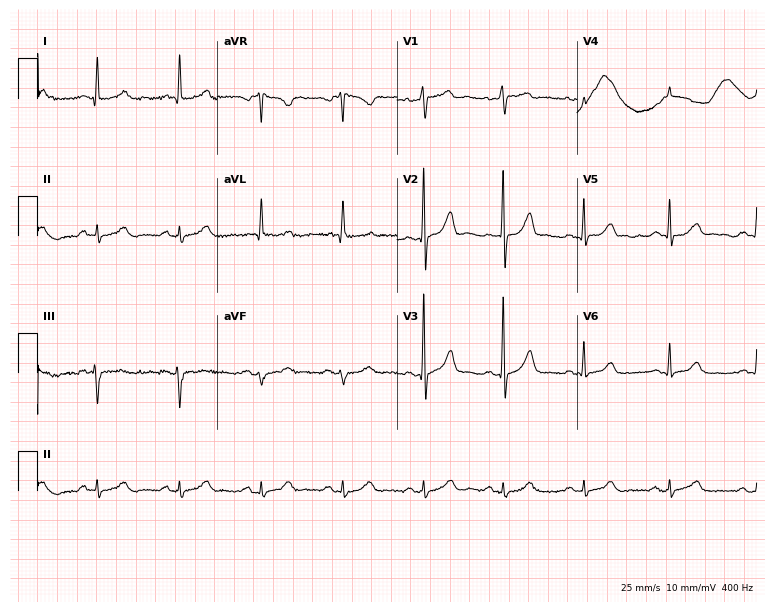
12-lead ECG from a male patient, 54 years old (7.3-second recording at 400 Hz). Recorded interpretation: within normal limits.